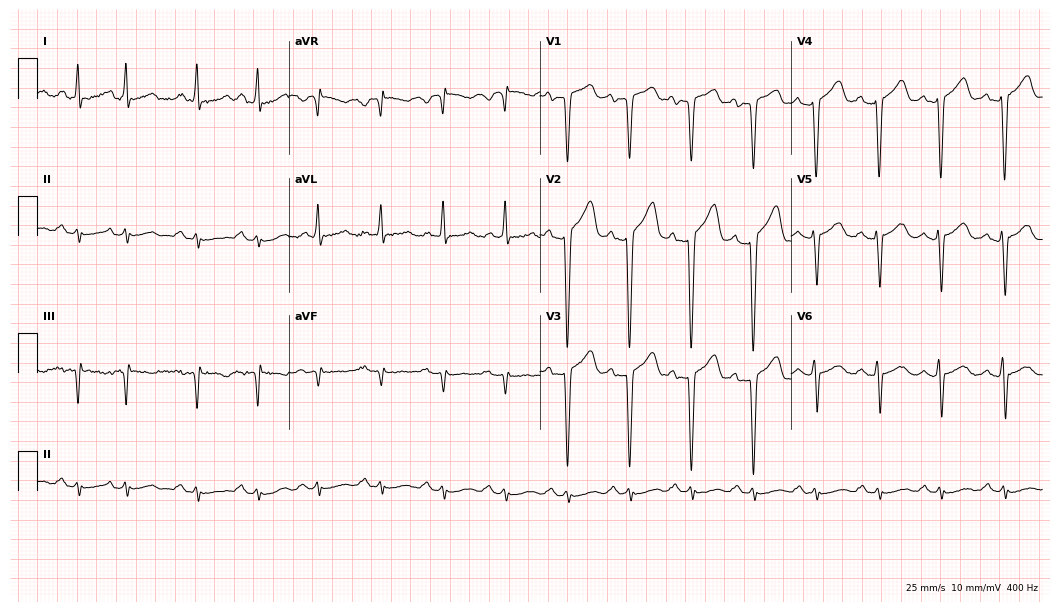
ECG (10.2-second recording at 400 Hz) — a male, 48 years old. Screened for six findings — first-degree AV block, right bundle branch block (RBBB), left bundle branch block (LBBB), sinus bradycardia, atrial fibrillation (AF), sinus tachycardia — none is recorded.